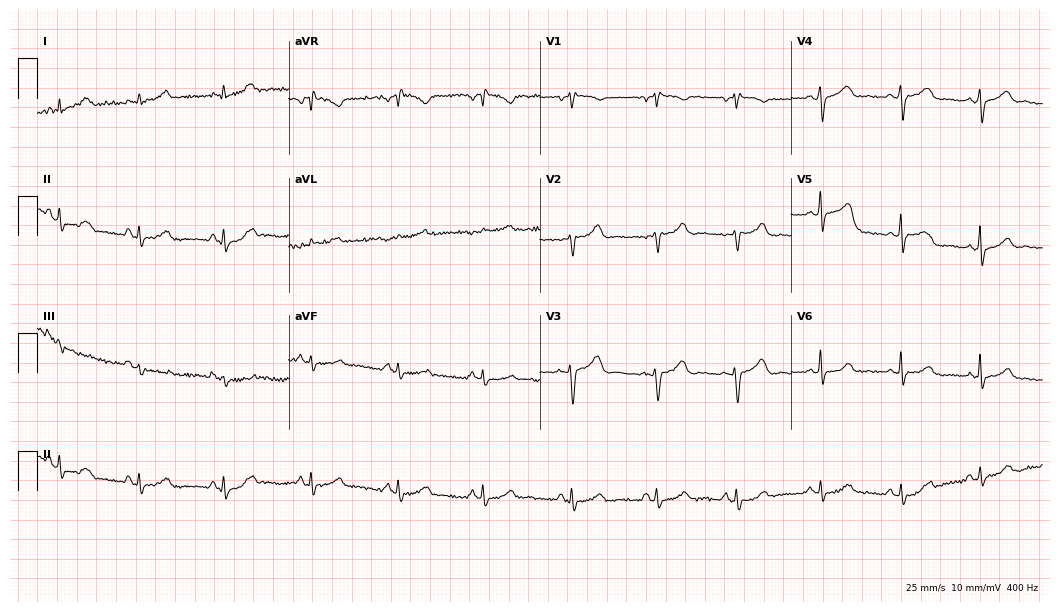
12-lead ECG from a woman, 54 years old (10.2-second recording at 400 Hz). No first-degree AV block, right bundle branch block (RBBB), left bundle branch block (LBBB), sinus bradycardia, atrial fibrillation (AF) or sinus tachycardia recorded for this tracing. Findings outside these six are not listed.